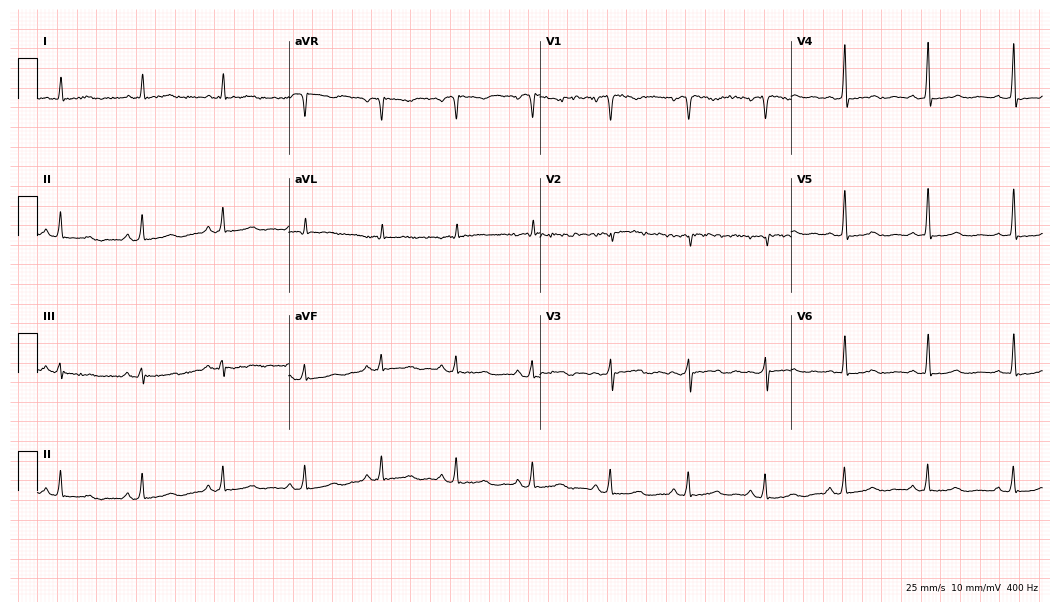
ECG — a female, 41 years old. Screened for six findings — first-degree AV block, right bundle branch block, left bundle branch block, sinus bradycardia, atrial fibrillation, sinus tachycardia — none is recorded.